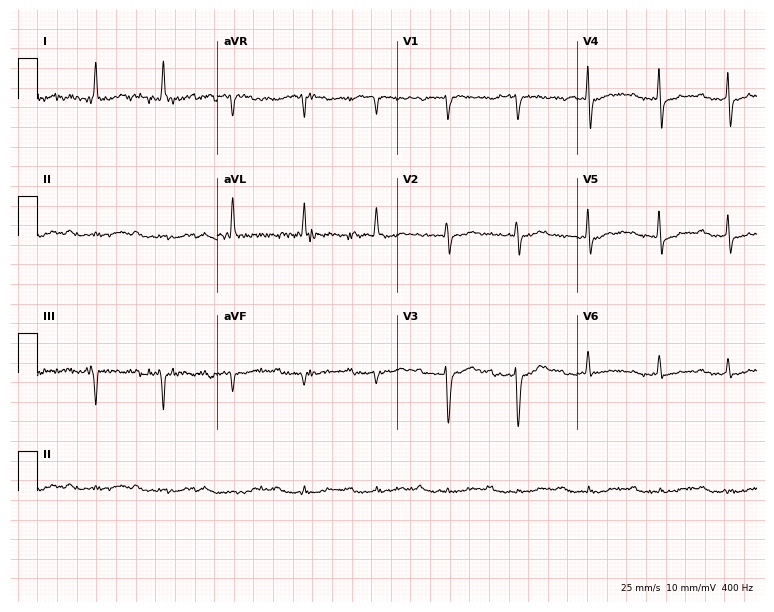
Electrocardiogram (7.3-second recording at 400 Hz), a male patient, 69 years old. Of the six screened findings (first-degree AV block, right bundle branch block (RBBB), left bundle branch block (LBBB), sinus bradycardia, atrial fibrillation (AF), sinus tachycardia), none is recorded.